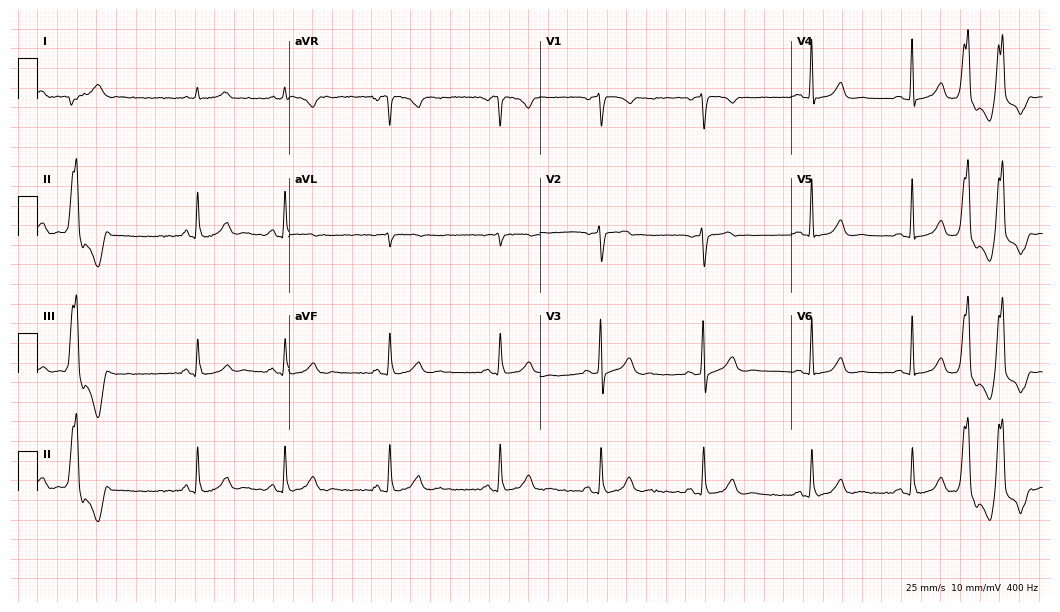
Resting 12-lead electrocardiogram (10.2-second recording at 400 Hz). Patient: a male, 34 years old. None of these six findings is recorded: first-degree AV block, right bundle branch block (RBBB), left bundle branch block (LBBB), sinus bradycardia, atrial fibrillation (AF), sinus tachycardia.